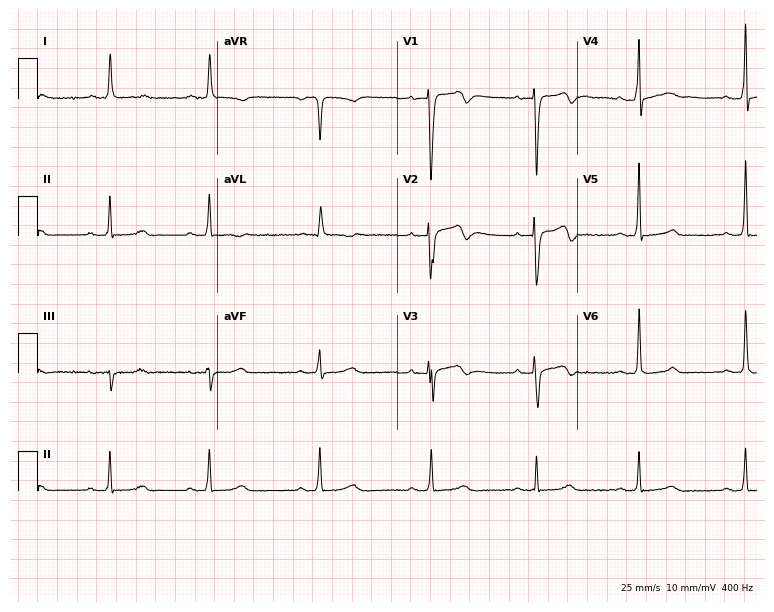
ECG (7.3-second recording at 400 Hz) — a man, 73 years old. Labelled as a normal ECG.